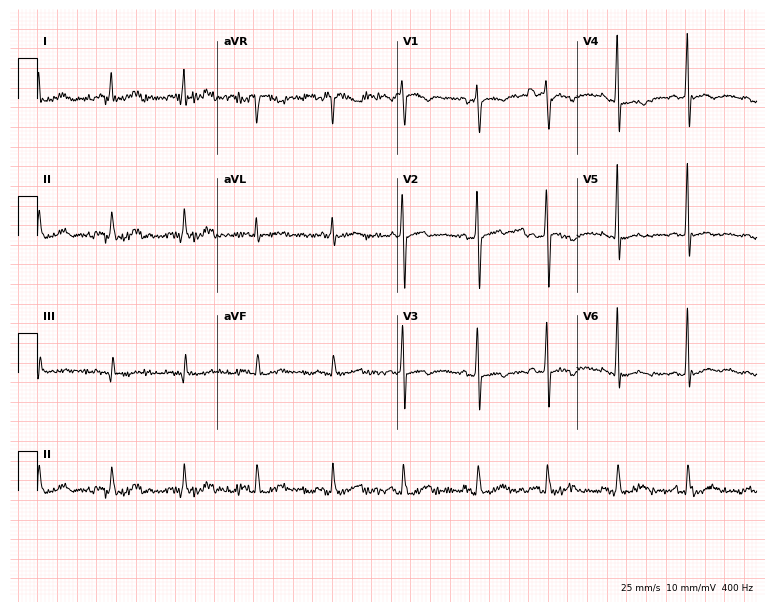
Resting 12-lead electrocardiogram. Patient: a male, 68 years old. None of these six findings is recorded: first-degree AV block, right bundle branch block (RBBB), left bundle branch block (LBBB), sinus bradycardia, atrial fibrillation (AF), sinus tachycardia. Other findings, if any, are not listed.